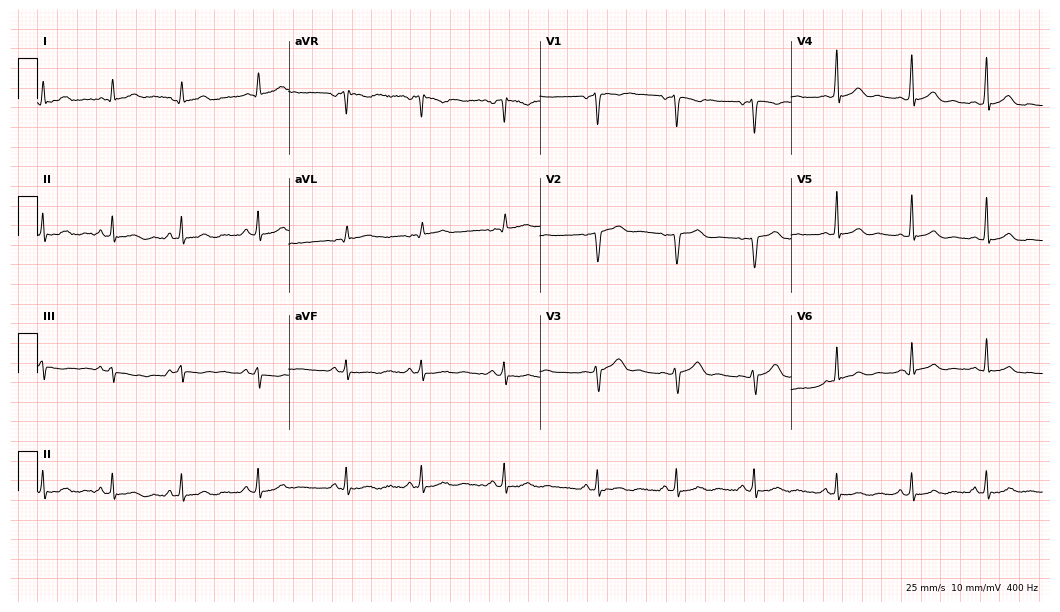
Resting 12-lead electrocardiogram. Patient: a female, 27 years old. Read as a normal ECG.